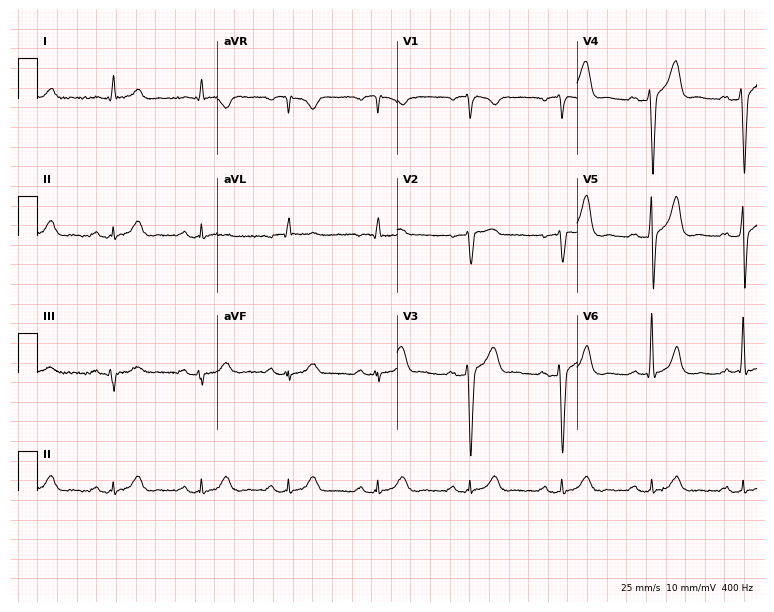
ECG — a male patient, 74 years old. Screened for six findings — first-degree AV block, right bundle branch block (RBBB), left bundle branch block (LBBB), sinus bradycardia, atrial fibrillation (AF), sinus tachycardia — none is recorded. Only these six findings were labelled.